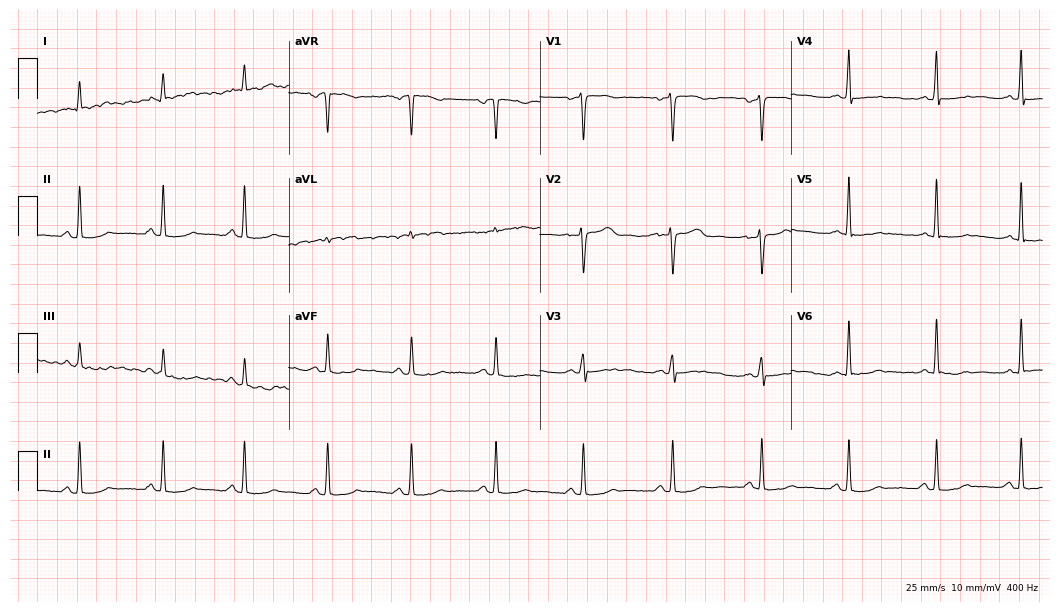
12-lead ECG from a 46-year-old woman (10.2-second recording at 400 Hz). No first-degree AV block, right bundle branch block (RBBB), left bundle branch block (LBBB), sinus bradycardia, atrial fibrillation (AF) or sinus tachycardia recorded for this tracing. Other findings, if any, are not listed.